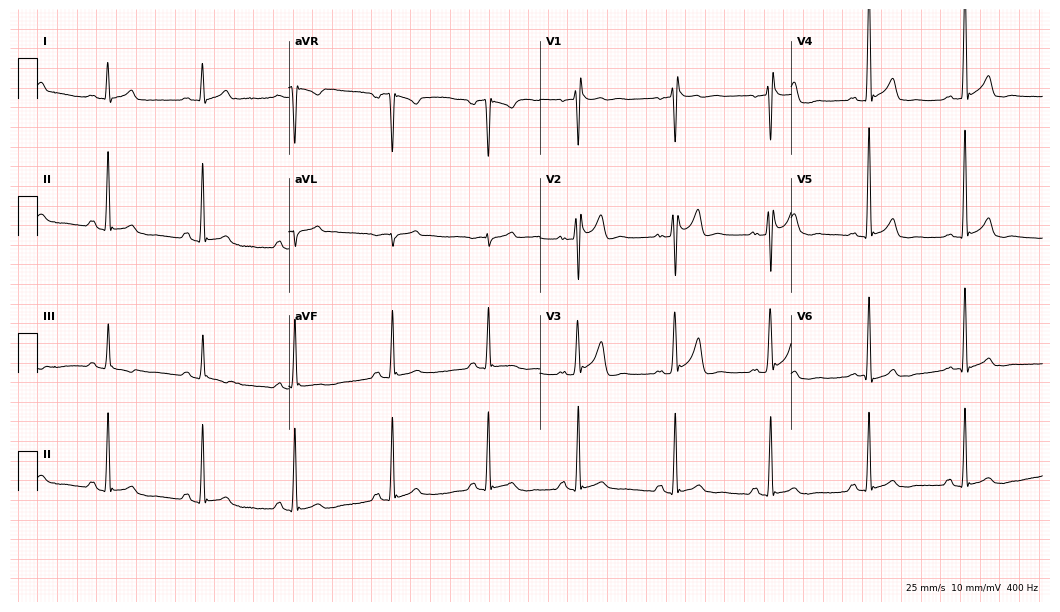
12-lead ECG from a 41-year-old man. No first-degree AV block, right bundle branch block, left bundle branch block, sinus bradycardia, atrial fibrillation or sinus tachycardia recorded for this tracing.